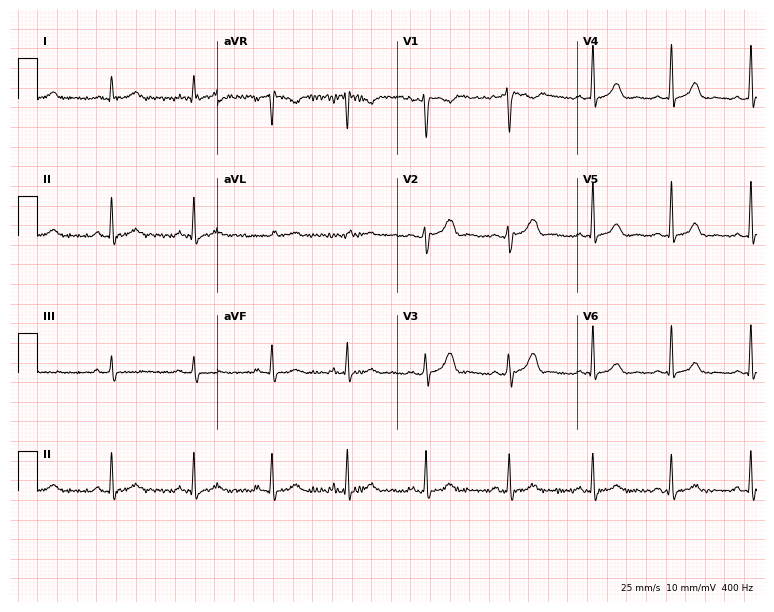
Electrocardiogram (7.3-second recording at 400 Hz), a 30-year-old female patient. Of the six screened findings (first-degree AV block, right bundle branch block, left bundle branch block, sinus bradycardia, atrial fibrillation, sinus tachycardia), none is recorded. Findings outside these six are not listed.